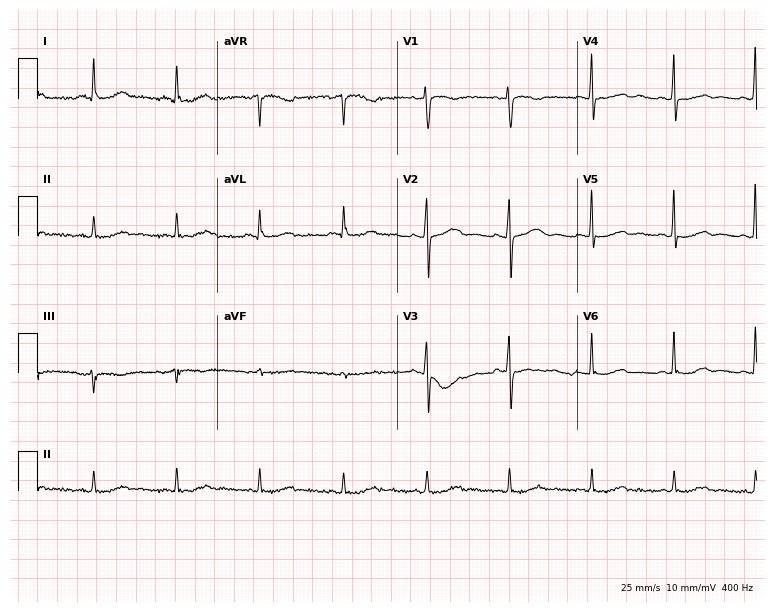
Standard 12-lead ECG recorded from a woman, 72 years old (7.3-second recording at 400 Hz). None of these six findings is recorded: first-degree AV block, right bundle branch block, left bundle branch block, sinus bradycardia, atrial fibrillation, sinus tachycardia. Findings outside these six are not listed.